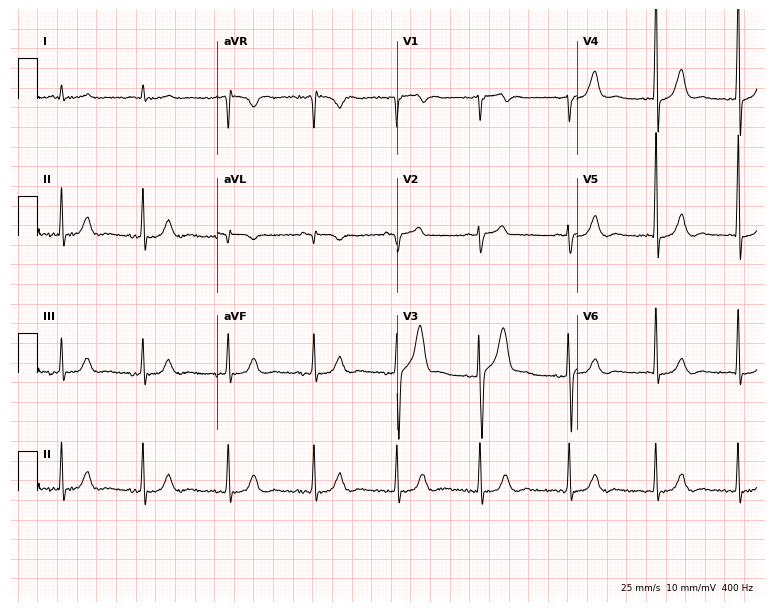
Standard 12-lead ECG recorded from a man, 60 years old. None of these six findings is recorded: first-degree AV block, right bundle branch block, left bundle branch block, sinus bradycardia, atrial fibrillation, sinus tachycardia. Only these six findings were labelled.